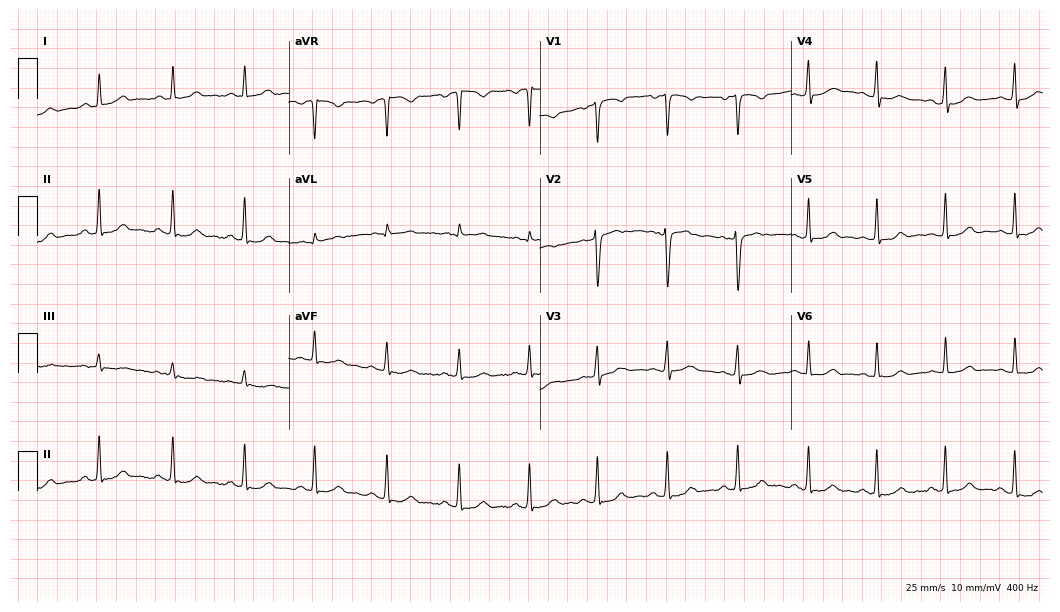
12-lead ECG from a female patient, 24 years old. Screened for six findings — first-degree AV block, right bundle branch block (RBBB), left bundle branch block (LBBB), sinus bradycardia, atrial fibrillation (AF), sinus tachycardia — none is recorded.